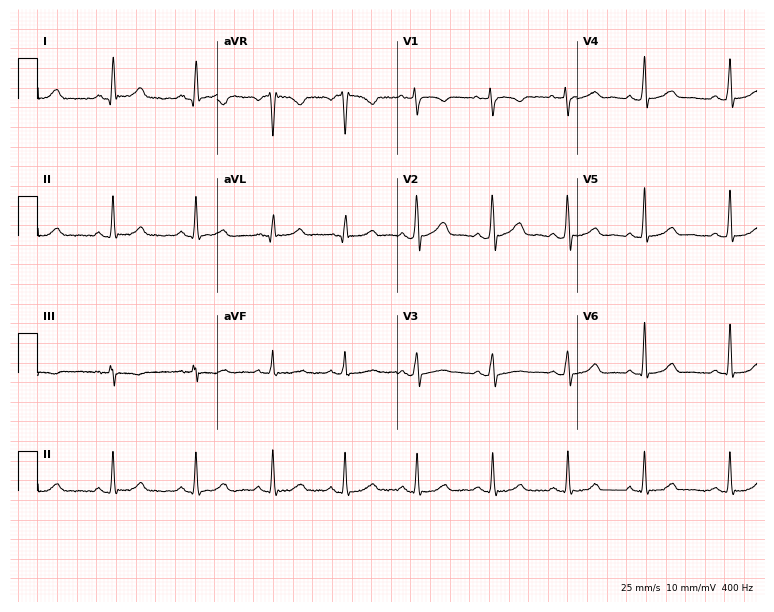
Resting 12-lead electrocardiogram. Patient: a 32-year-old female. Read as a normal ECG.